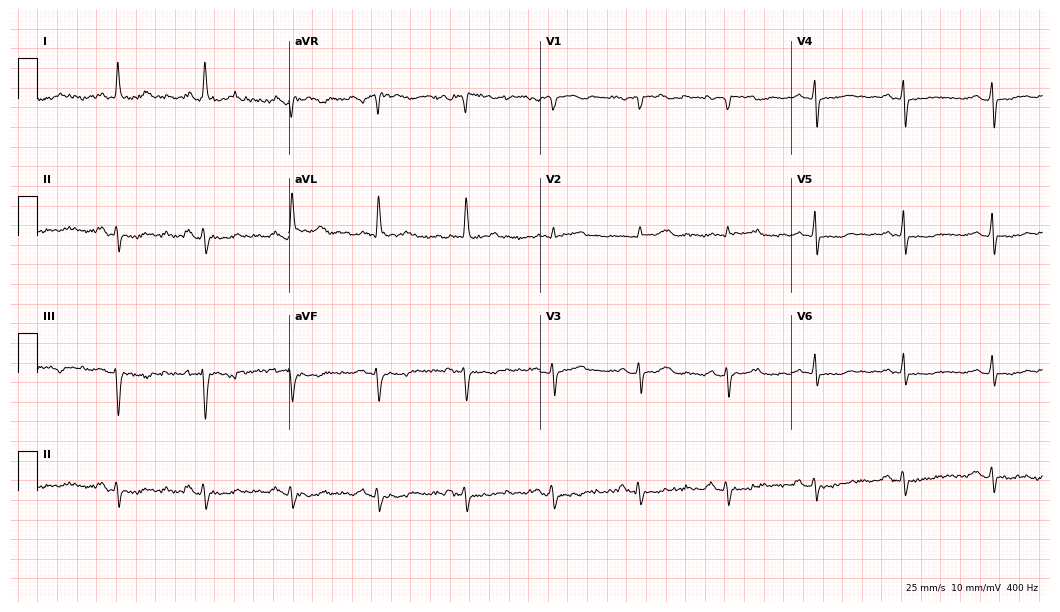
Resting 12-lead electrocardiogram (10.2-second recording at 400 Hz). Patient: a female, 77 years old. None of these six findings is recorded: first-degree AV block, right bundle branch block, left bundle branch block, sinus bradycardia, atrial fibrillation, sinus tachycardia. Other findings, if any, are not listed.